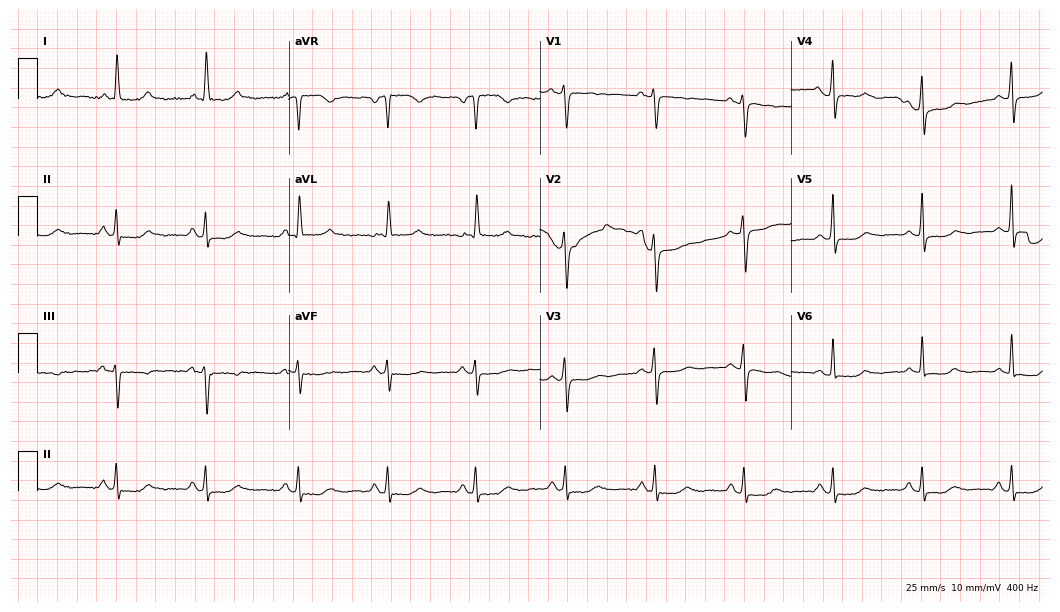
Standard 12-lead ECG recorded from a female patient, 71 years old (10.2-second recording at 400 Hz). None of these six findings is recorded: first-degree AV block, right bundle branch block (RBBB), left bundle branch block (LBBB), sinus bradycardia, atrial fibrillation (AF), sinus tachycardia.